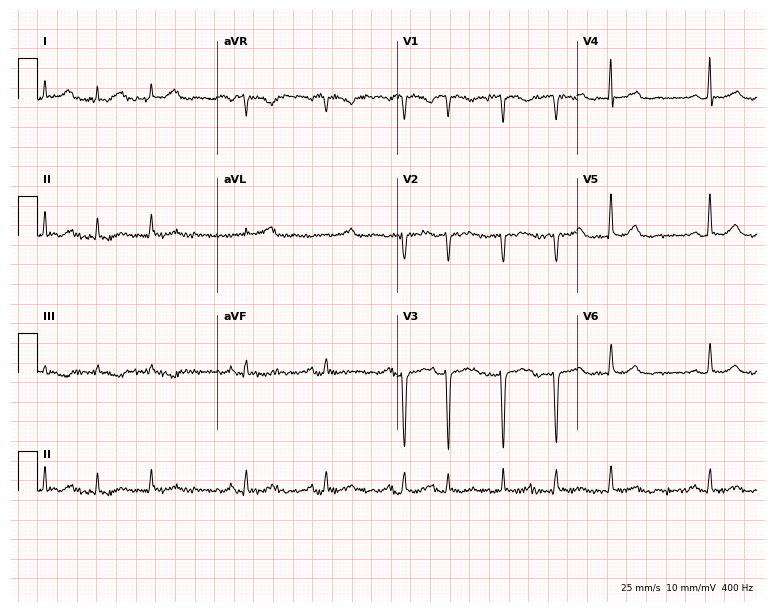
Electrocardiogram (7.3-second recording at 400 Hz), an 80-year-old female. Of the six screened findings (first-degree AV block, right bundle branch block, left bundle branch block, sinus bradycardia, atrial fibrillation, sinus tachycardia), none is recorded. Other findings, if any, are not listed.